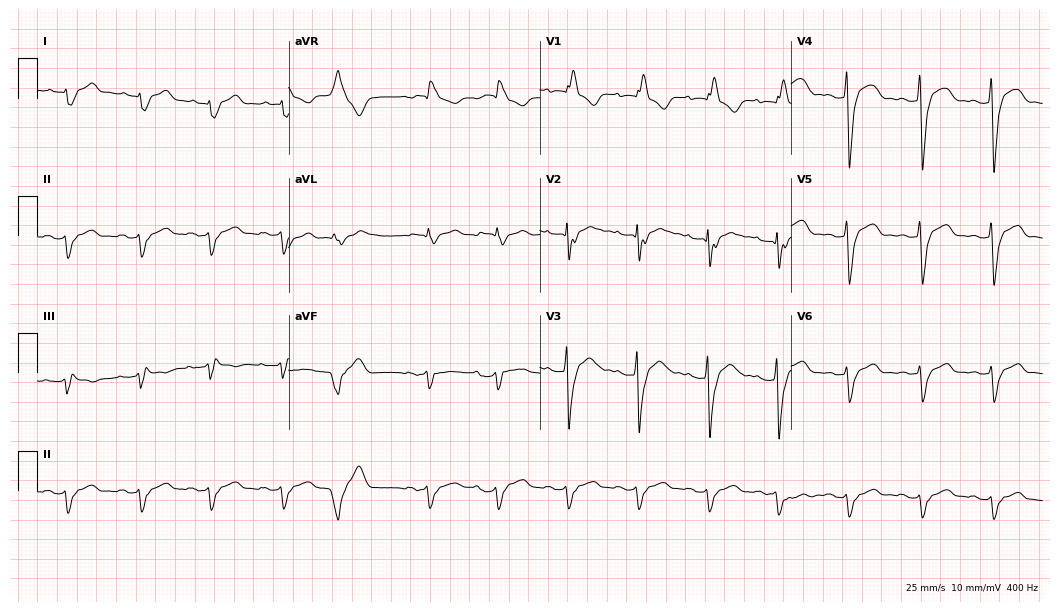
Electrocardiogram (10.2-second recording at 400 Hz), a 56-year-old female. Interpretation includes right bundle branch block.